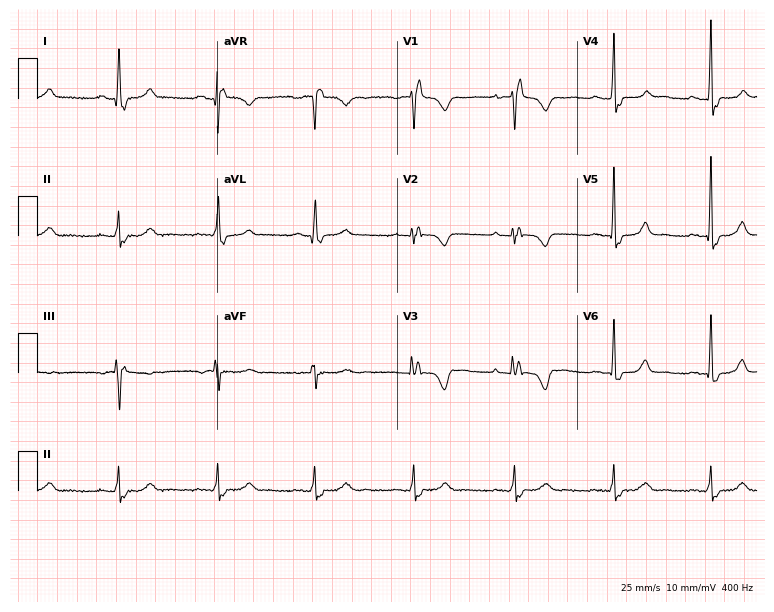
12-lead ECG (7.3-second recording at 400 Hz) from a 55-year-old female. Findings include right bundle branch block.